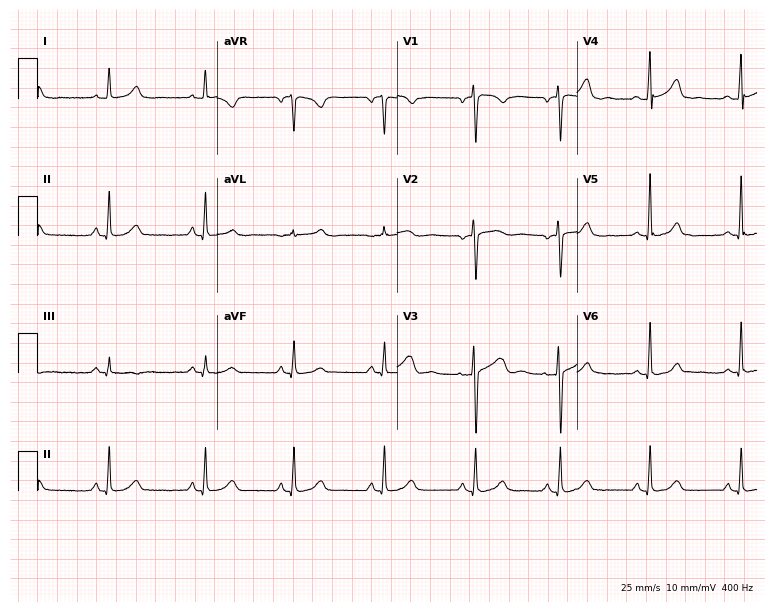
12-lead ECG from a 44-year-old female. Labelled as a normal ECG.